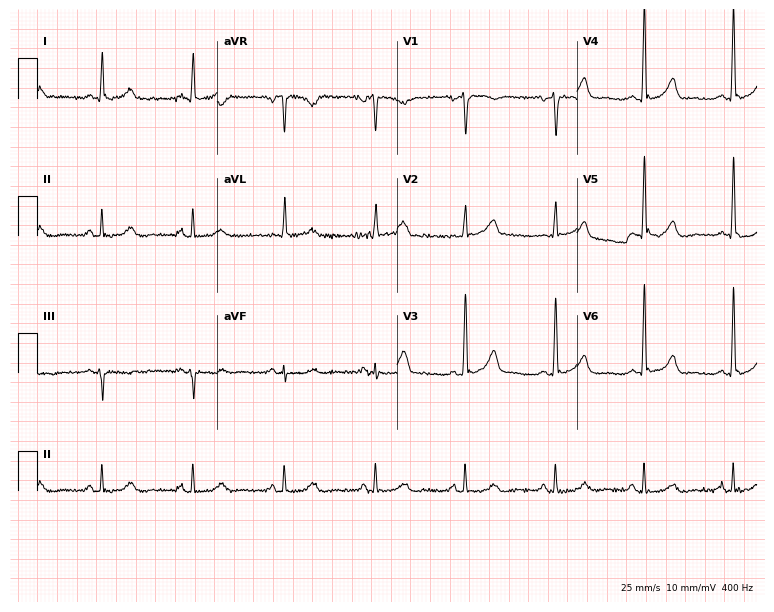
12-lead ECG from a 53-year-old male (7.3-second recording at 400 Hz). No first-degree AV block, right bundle branch block (RBBB), left bundle branch block (LBBB), sinus bradycardia, atrial fibrillation (AF) or sinus tachycardia recorded for this tracing. Other findings, if any, are not listed.